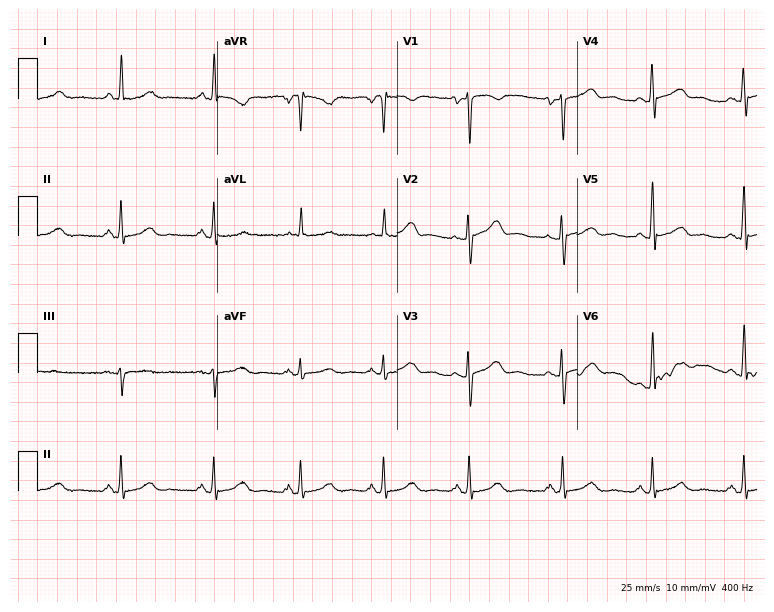
12-lead ECG (7.3-second recording at 400 Hz) from a 43-year-old woman. Labelled as a normal ECG.